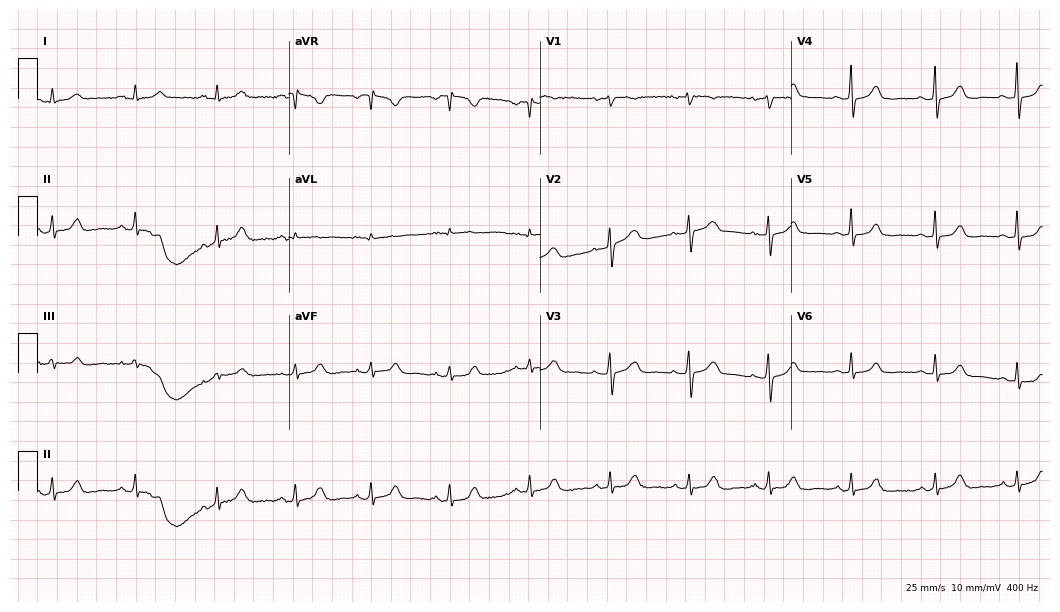
Standard 12-lead ECG recorded from a woman, 60 years old (10.2-second recording at 400 Hz). None of these six findings is recorded: first-degree AV block, right bundle branch block, left bundle branch block, sinus bradycardia, atrial fibrillation, sinus tachycardia.